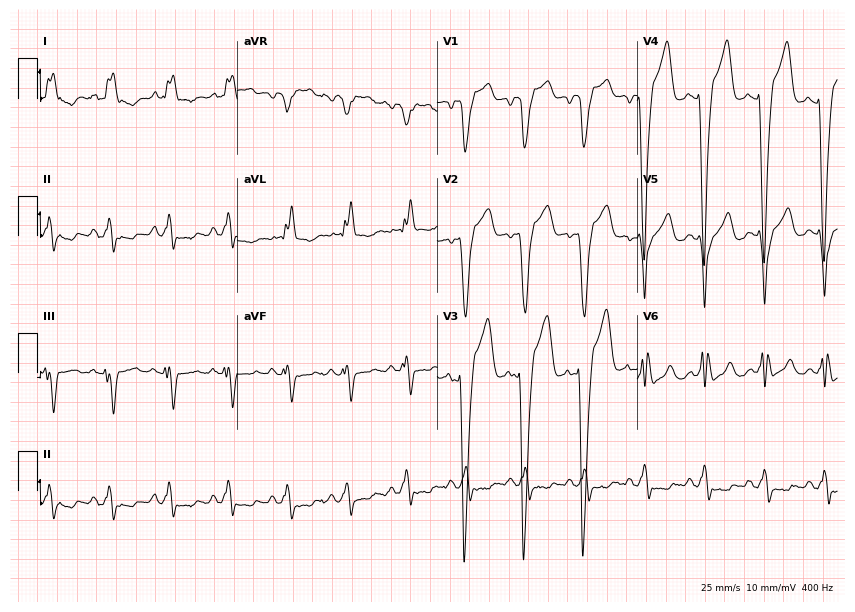
ECG — a male, 83 years old. Findings include left bundle branch block.